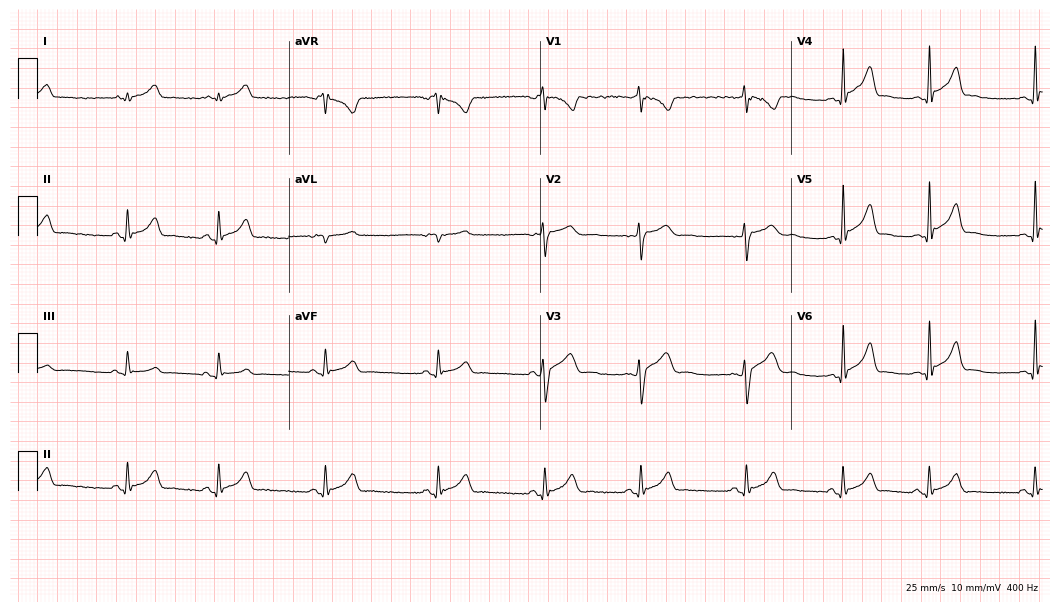
ECG (10.2-second recording at 400 Hz) — a 21-year-old male patient. Screened for six findings — first-degree AV block, right bundle branch block (RBBB), left bundle branch block (LBBB), sinus bradycardia, atrial fibrillation (AF), sinus tachycardia — none is recorded.